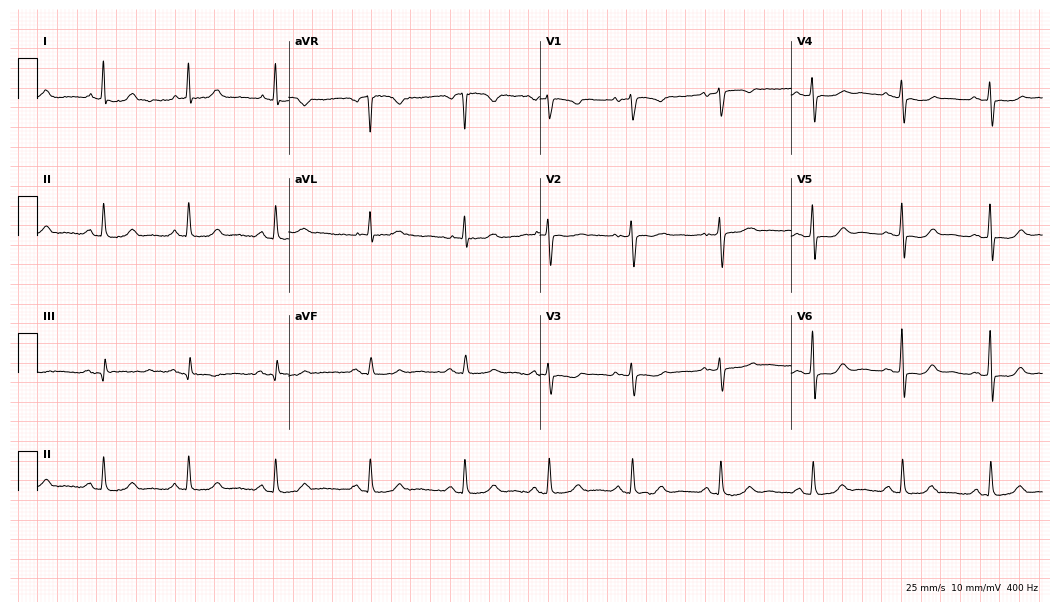
Electrocardiogram, a 68-year-old female. Of the six screened findings (first-degree AV block, right bundle branch block (RBBB), left bundle branch block (LBBB), sinus bradycardia, atrial fibrillation (AF), sinus tachycardia), none is recorded. Other findings, if any, are not listed.